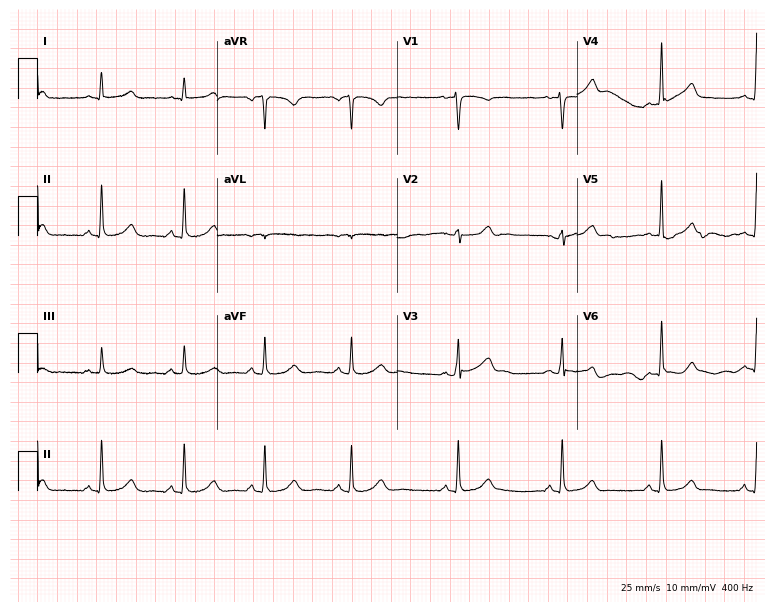
12-lead ECG from a female, 38 years old. No first-degree AV block, right bundle branch block, left bundle branch block, sinus bradycardia, atrial fibrillation or sinus tachycardia recorded for this tracing.